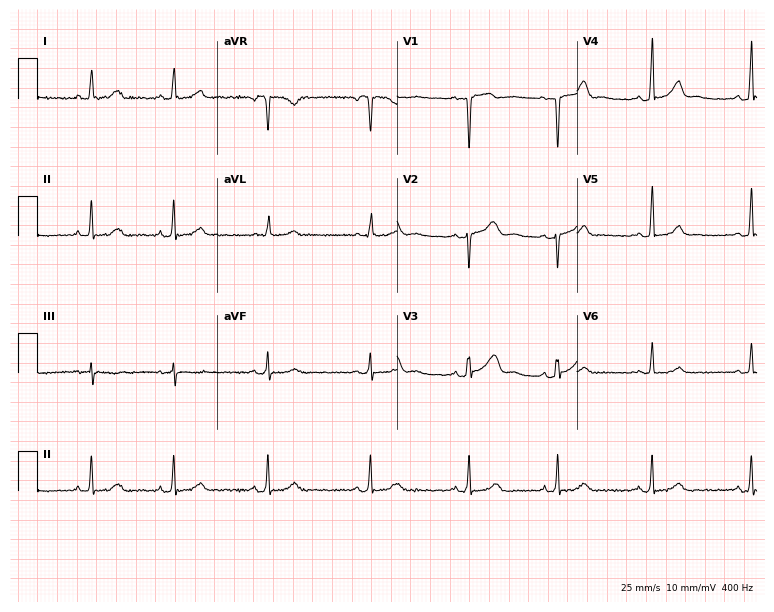
Electrocardiogram (7.3-second recording at 400 Hz), a female patient, 22 years old. Overall reading on record: normal ECG.